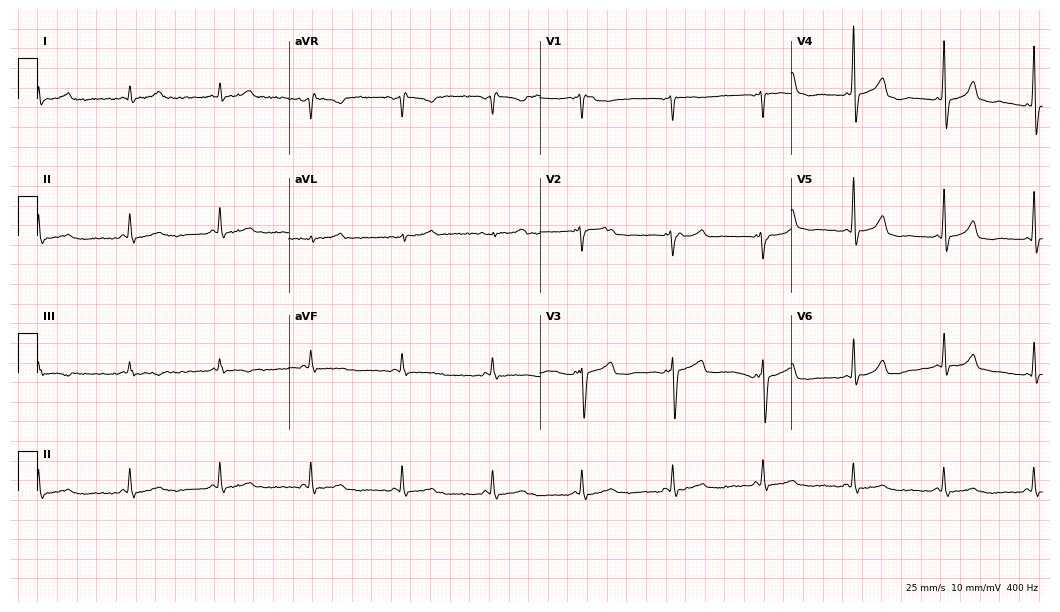
Electrocardiogram, a 57-year-old male. Of the six screened findings (first-degree AV block, right bundle branch block, left bundle branch block, sinus bradycardia, atrial fibrillation, sinus tachycardia), none is recorded.